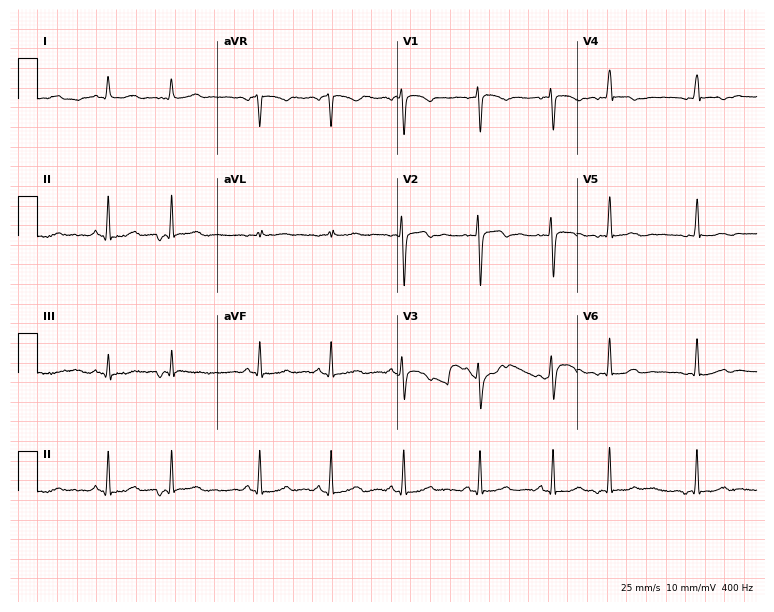
12-lead ECG from a 17-year-old woman. No first-degree AV block, right bundle branch block, left bundle branch block, sinus bradycardia, atrial fibrillation or sinus tachycardia recorded for this tracing. Findings outside these six are not listed.